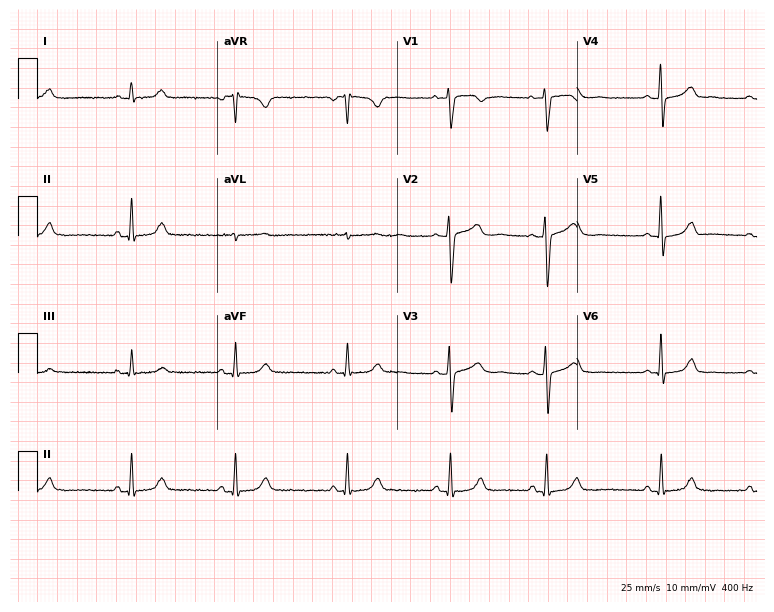
Electrocardiogram (7.3-second recording at 400 Hz), a 25-year-old female. Overall reading on record: normal ECG.